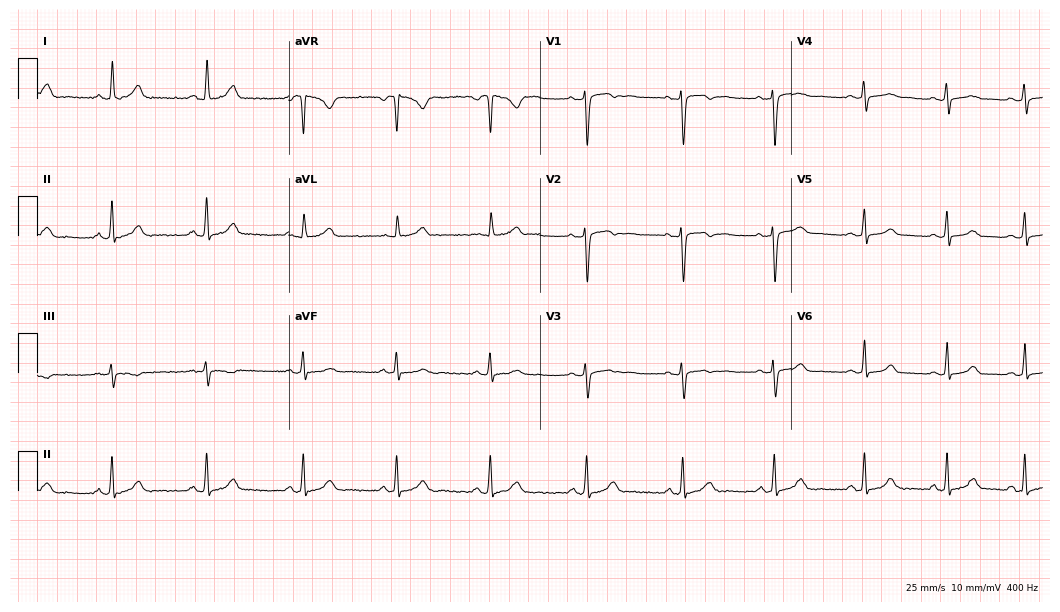
Electrocardiogram, a 37-year-old female. Overall reading on record: normal ECG.